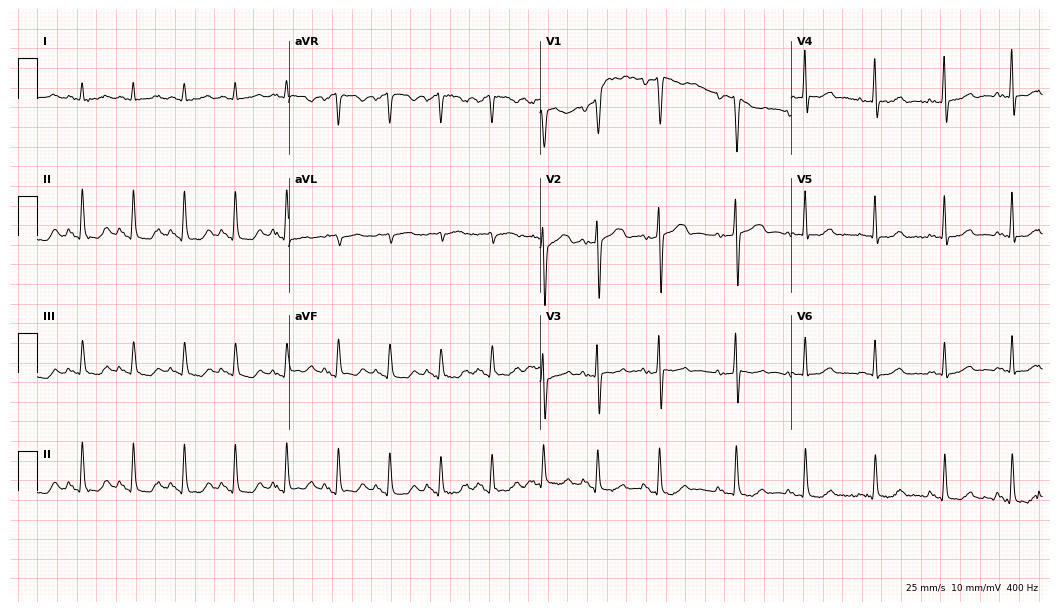
Resting 12-lead electrocardiogram. Patient: a 55-year-old male. The tracing shows sinus tachycardia (a sinus rate of 100 beats per minute or more).